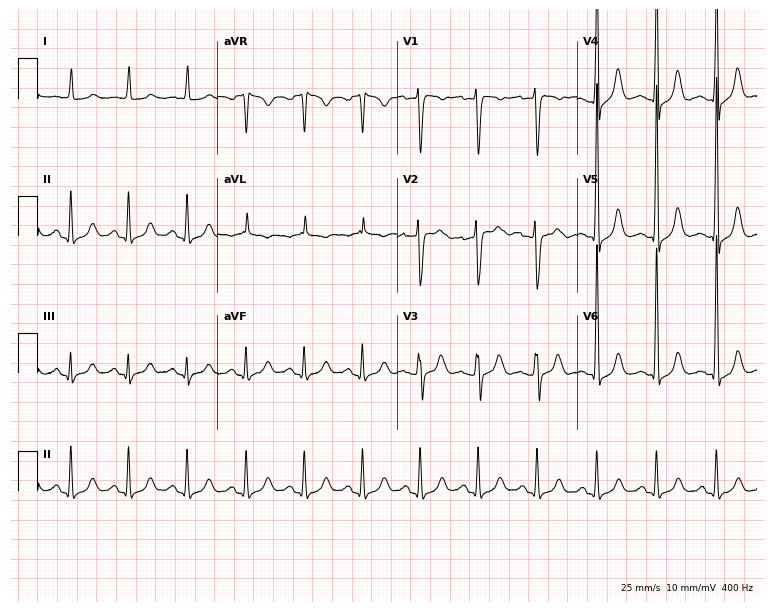
Standard 12-lead ECG recorded from a 50-year-old man (7.3-second recording at 400 Hz). Read as a normal ECG.